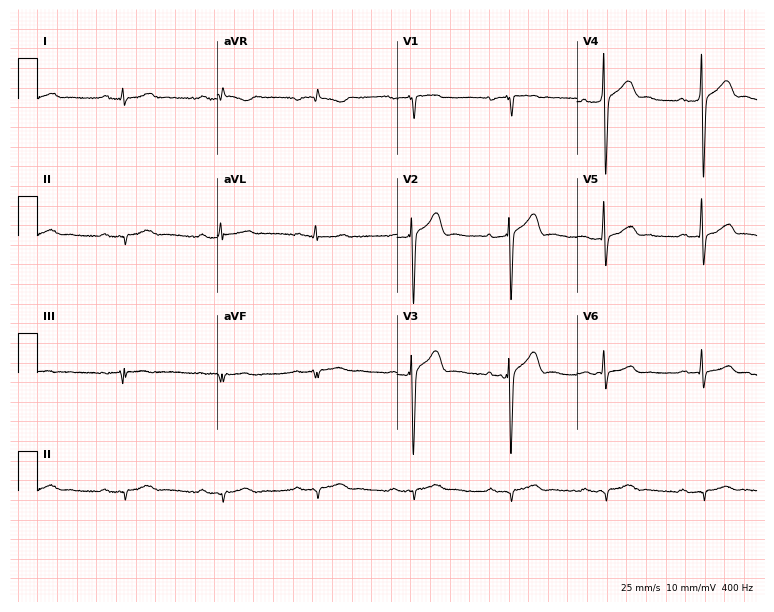
Electrocardiogram, a 45-year-old female. Interpretation includes first-degree AV block.